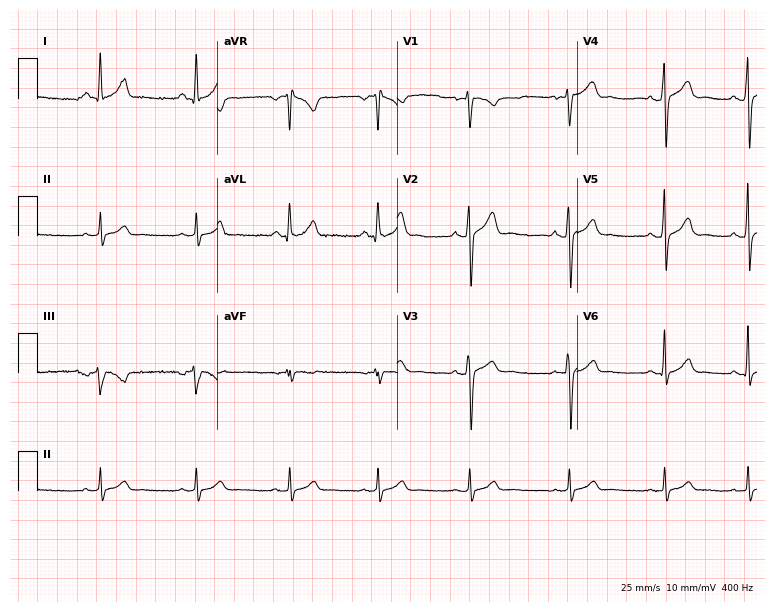
ECG — a man, 27 years old. Screened for six findings — first-degree AV block, right bundle branch block, left bundle branch block, sinus bradycardia, atrial fibrillation, sinus tachycardia — none is recorded. Only these six findings were labelled.